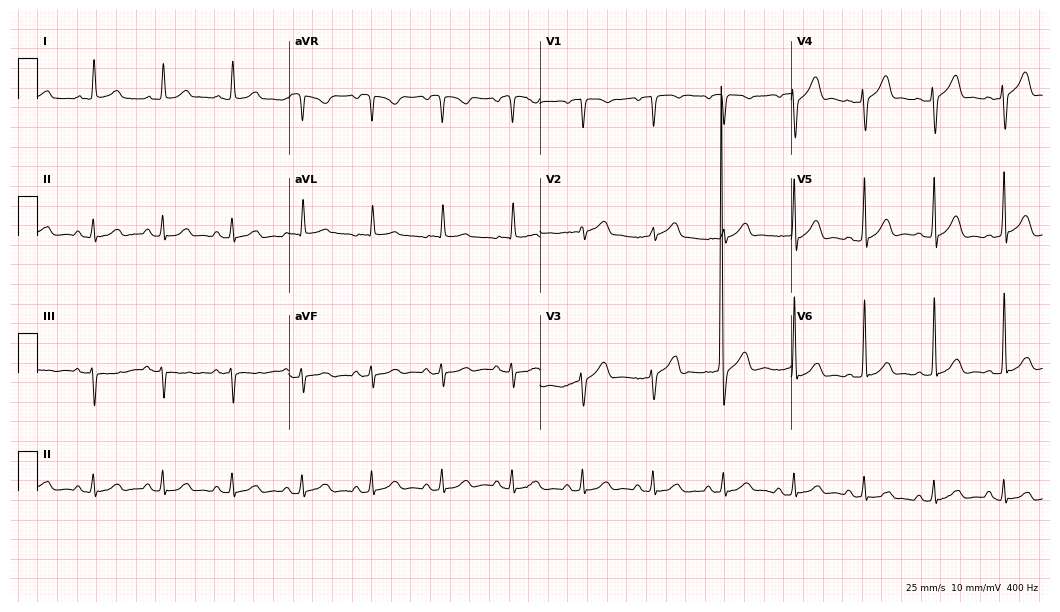
ECG (10.2-second recording at 400 Hz) — a 71-year-old man. Labelled as a normal ECG.